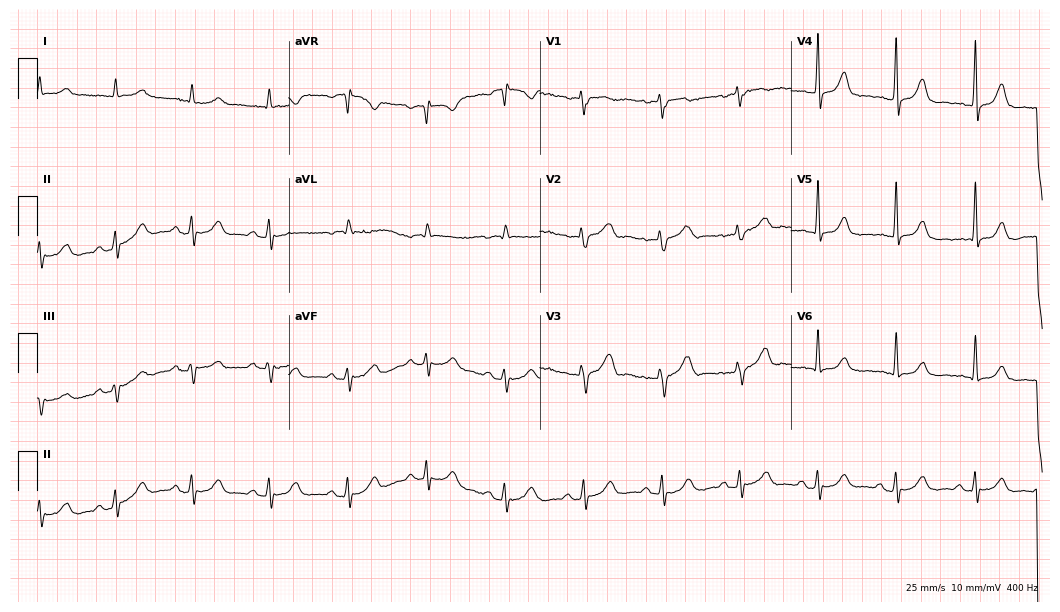
12-lead ECG from a male, 78 years old. Labelled as a normal ECG.